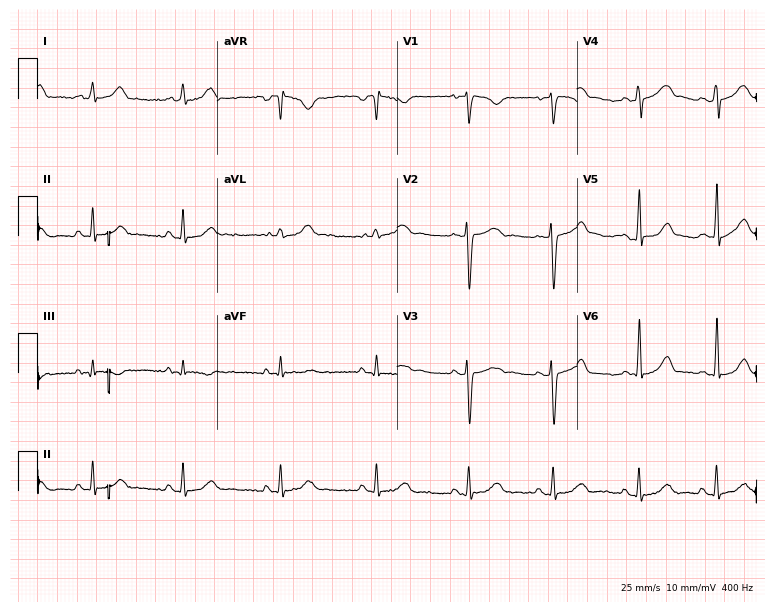
12-lead ECG (7.3-second recording at 400 Hz) from a woman, 21 years old. Screened for six findings — first-degree AV block, right bundle branch block, left bundle branch block, sinus bradycardia, atrial fibrillation, sinus tachycardia — none is recorded.